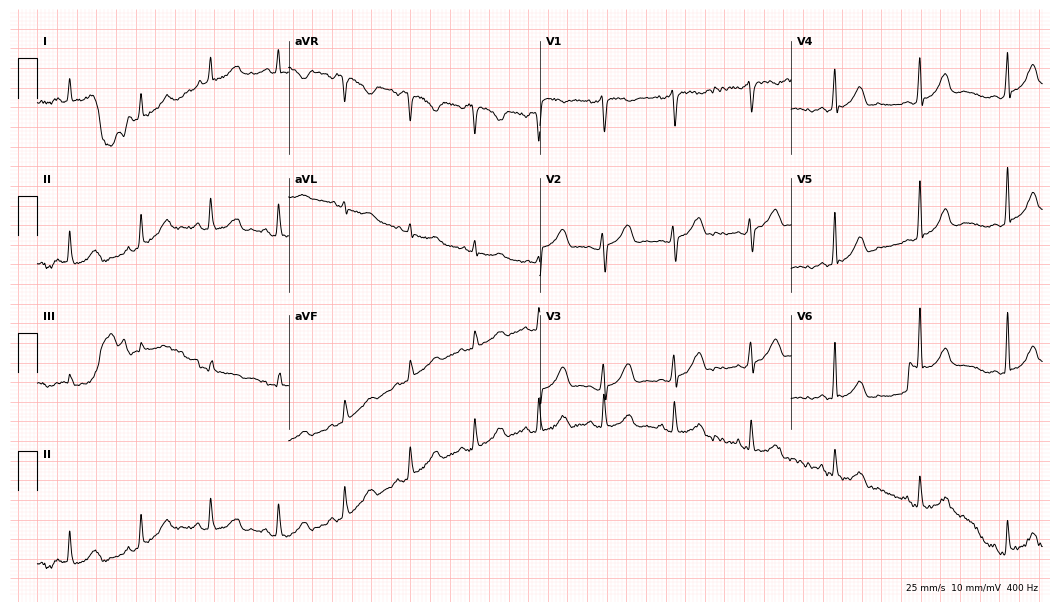
ECG — a 38-year-old woman. Labelled as a normal ECG.